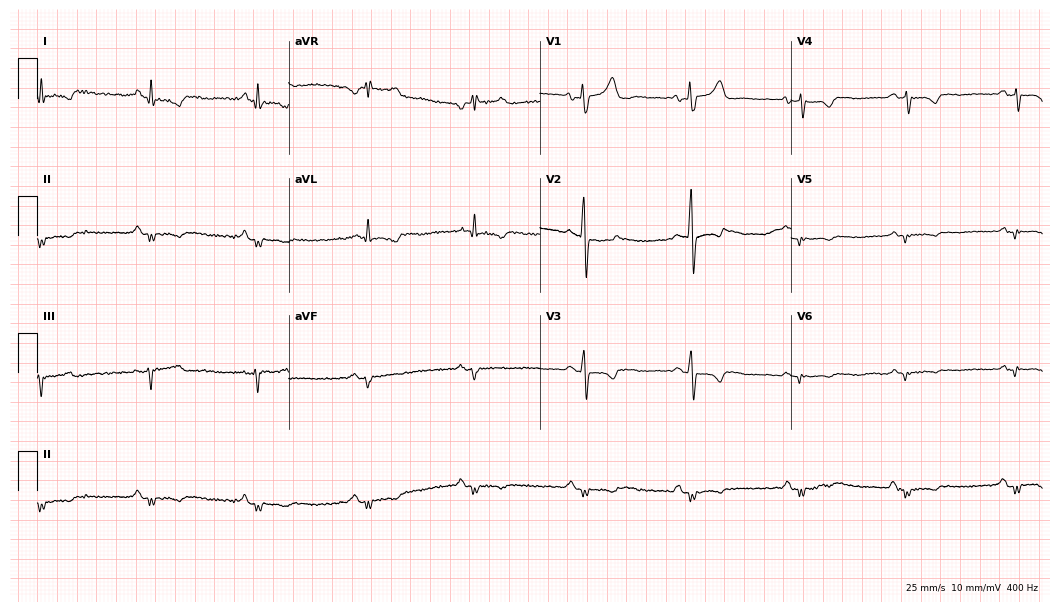
12-lead ECG from a male, 68 years old. Screened for six findings — first-degree AV block, right bundle branch block (RBBB), left bundle branch block (LBBB), sinus bradycardia, atrial fibrillation (AF), sinus tachycardia — none is recorded. Only these six findings were labelled.